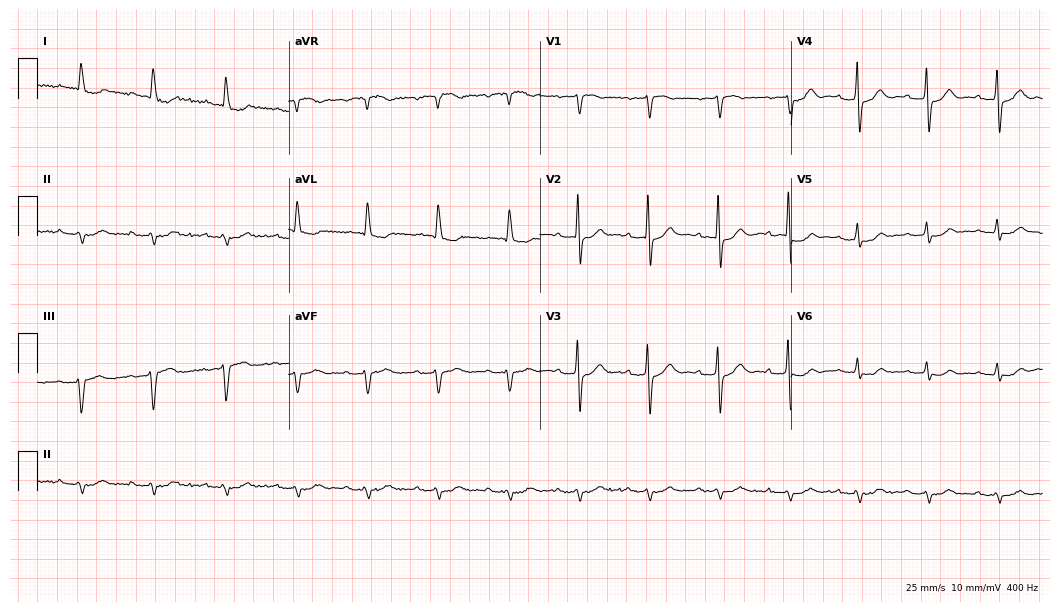
Electrocardiogram, a man, 67 years old. Overall reading on record: normal ECG.